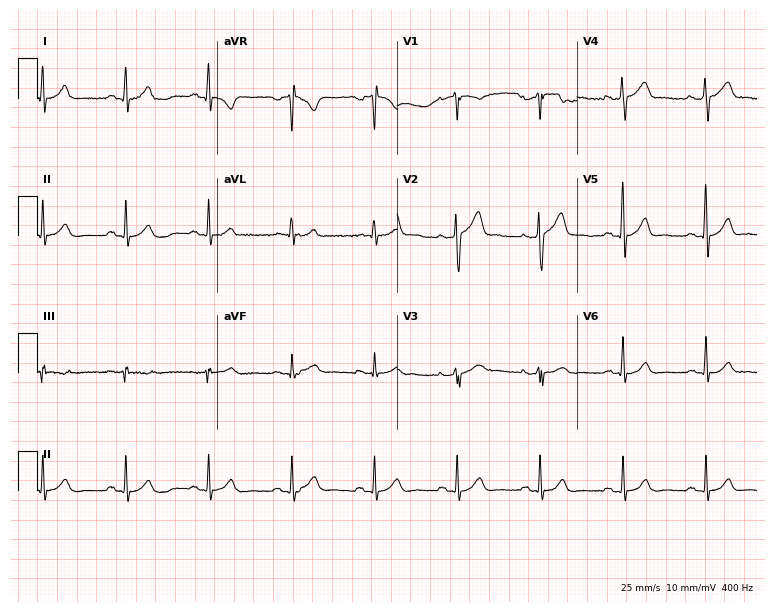
ECG (7.3-second recording at 400 Hz) — a male patient, 49 years old. Labelled as a normal ECG.